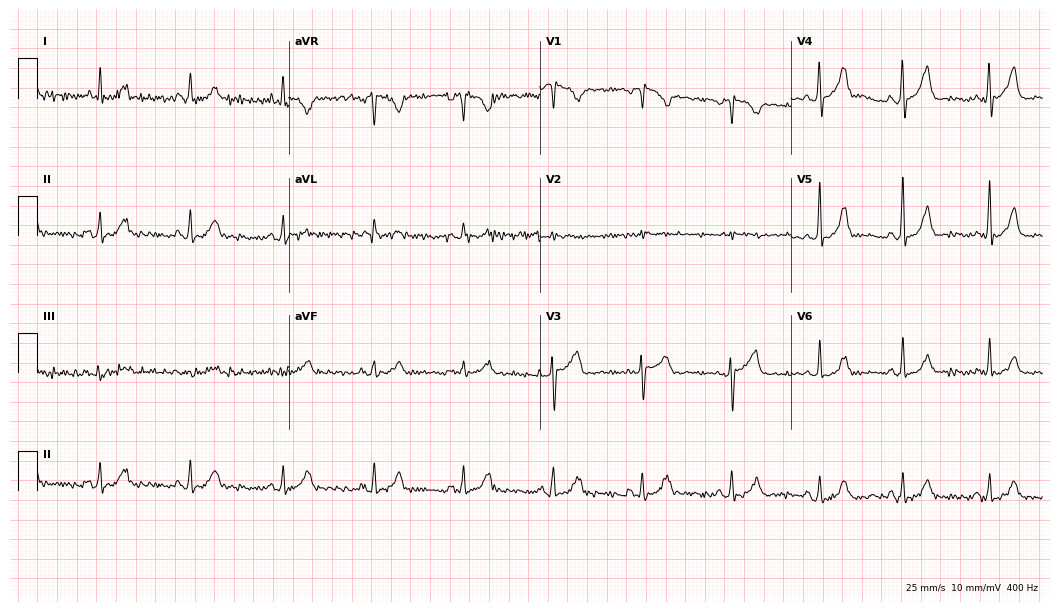
Electrocardiogram (10.2-second recording at 400 Hz), a female, 46 years old. Overall reading on record: normal ECG.